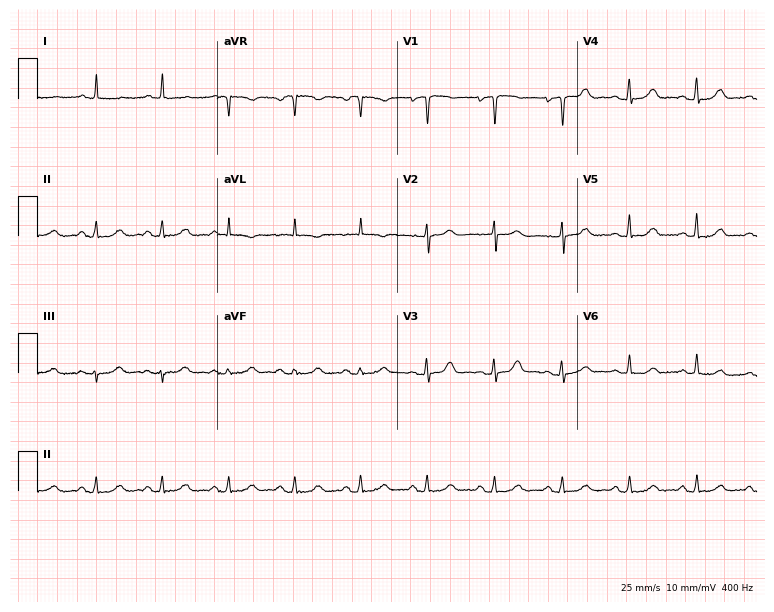
ECG (7.3-second recording at 400 Hz) — a female patient, 69 years old. Screened for six findings — first-degree AV block, right bundle branch block (RBBB), left bundle branch block (LBBB), sinus bradycardia, atrial fibrillation (AF), sinus tachycardia — none is recorded.